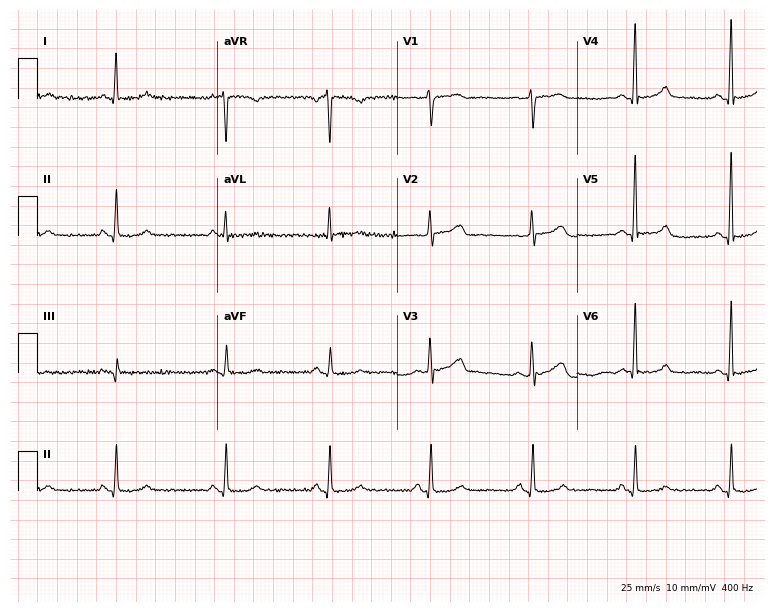
Electrocardiogram (7.3-second recording at 400 Hz), a 58-year-old female patient. Overall reading on record: normal ECG.